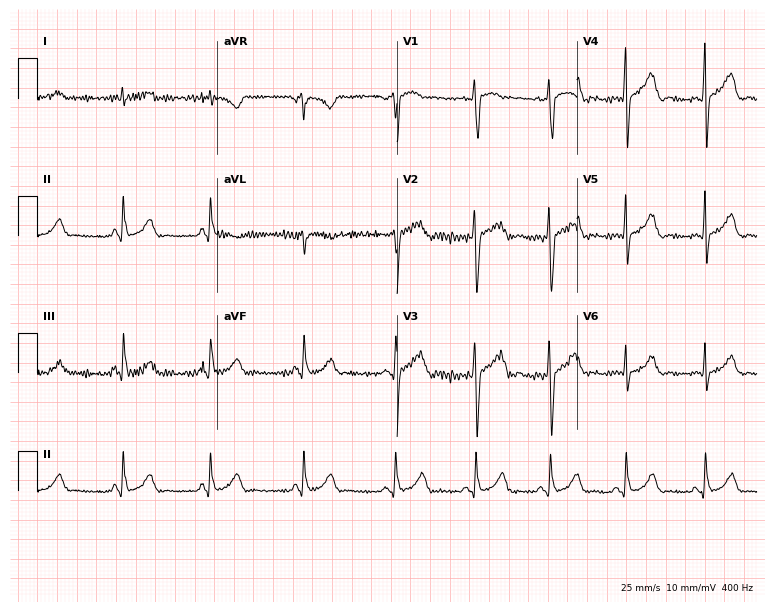
ECG (7.3-second recording at 400 Hz) — a male, 22 years old. Screened for six findings — first-degree AV block, right bundle branch block, left bundle branch block, sinus bradycardia, atrial fibrillation, sinus tachycardia — none is recorded.